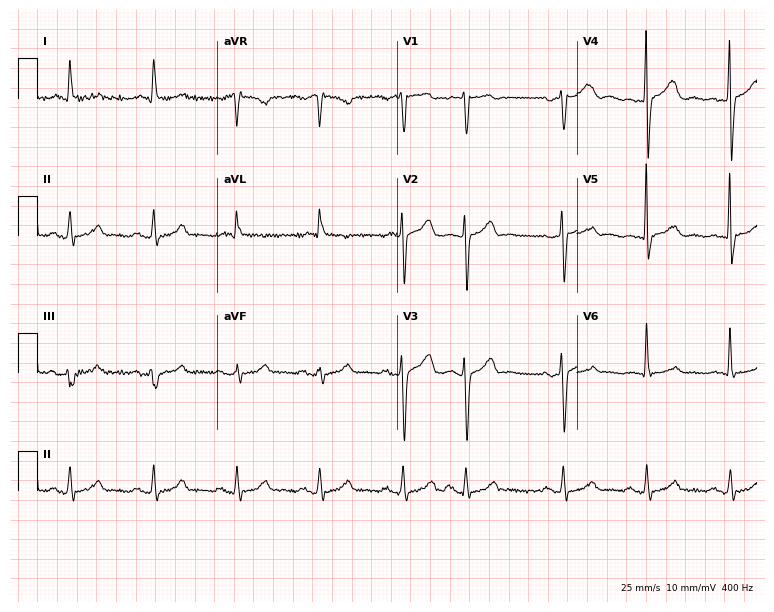
ECG — a woman, 68 years old. Labelled as a normal ECG.